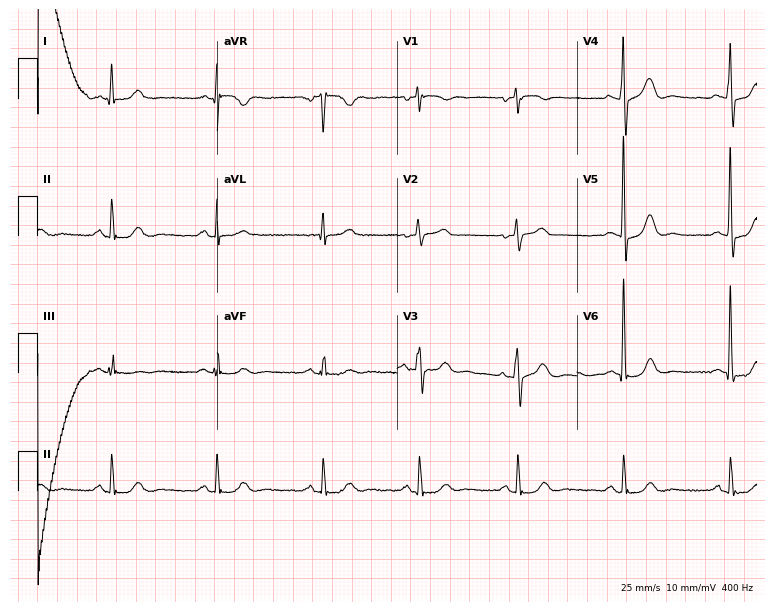
Electrocardiogram (7.3-second recording at 400 Hz), a 68-year-old female patient. Of the six screened findings (first-degree AV block, right bundle branch block, left bundle branch block, sinus bradycardia, atrial fibrillation, sinus tachycardia), none is recorded. Only these six findings were labelled.